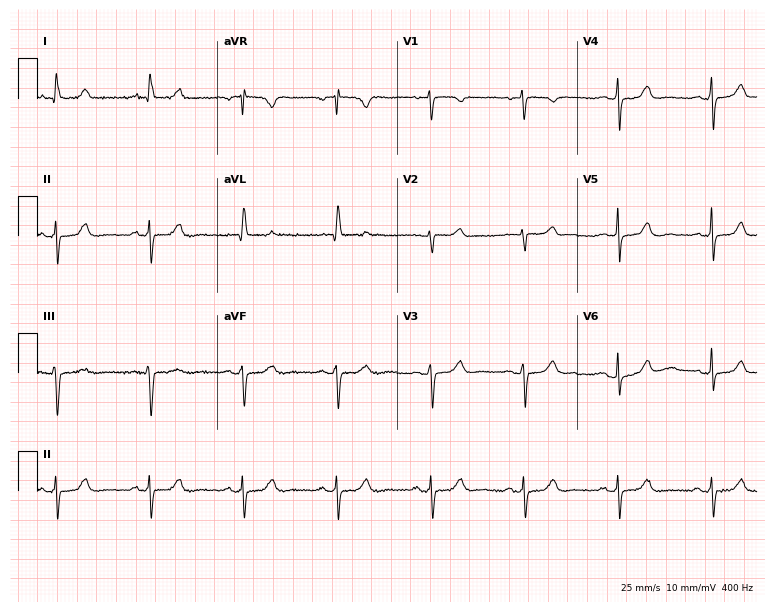
Standard 12-lead ECG recorded from a female patient, 74 years old (7.3-second recording at 400 Hz). None of these six findings is recorded: first-degree AV block, right bundle branch block (RBBB), left bundle branch block (LBBB), sinus bradycardia, atrial fibrillation (AF), sinus tachycardia.